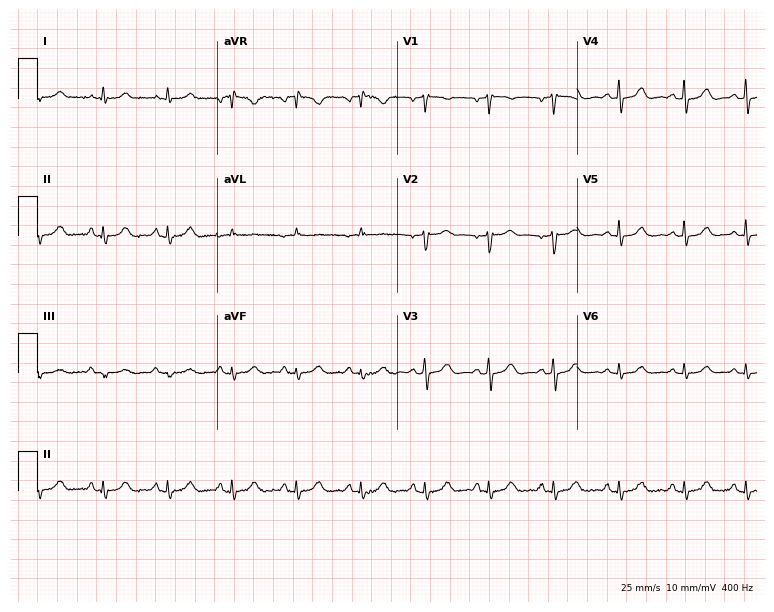
Electrocardiogram (7.3-second recording at 400 Hz), a 41-year-old female patient. Of the six screened findings (first-degree AV block, right bundle branch block, left bundle branch block, sinus bradycardia, atrial fibrillation, sinus tachycardia), none is recorded.